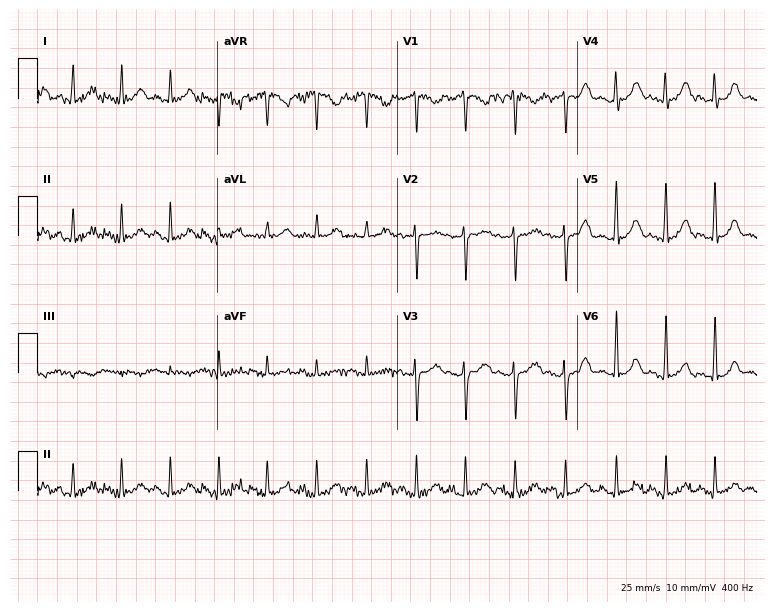
Standard 12-lead ECG recorded from a 27-year-old woman. The tracing shows sinus tachycardia (a sinus rate of 100 beats per minute or more).